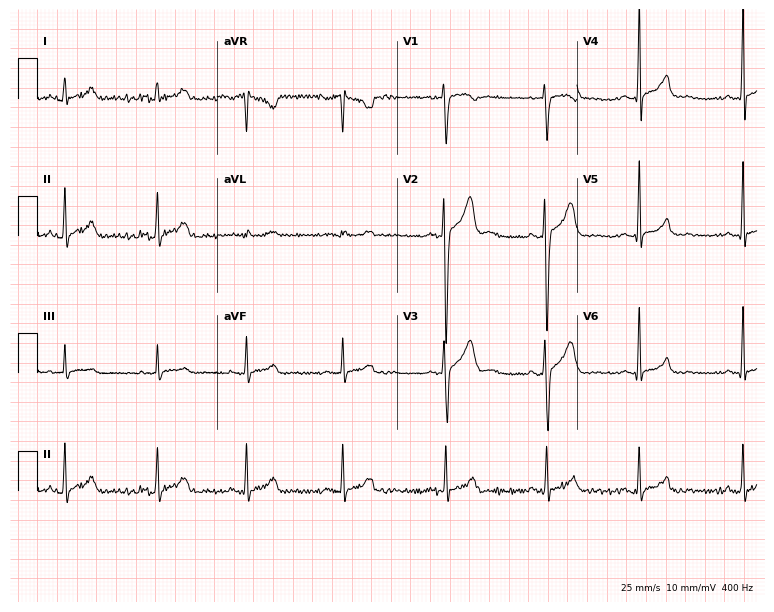
ECG — a 29-year-old male. Labelled as a normal ECG.